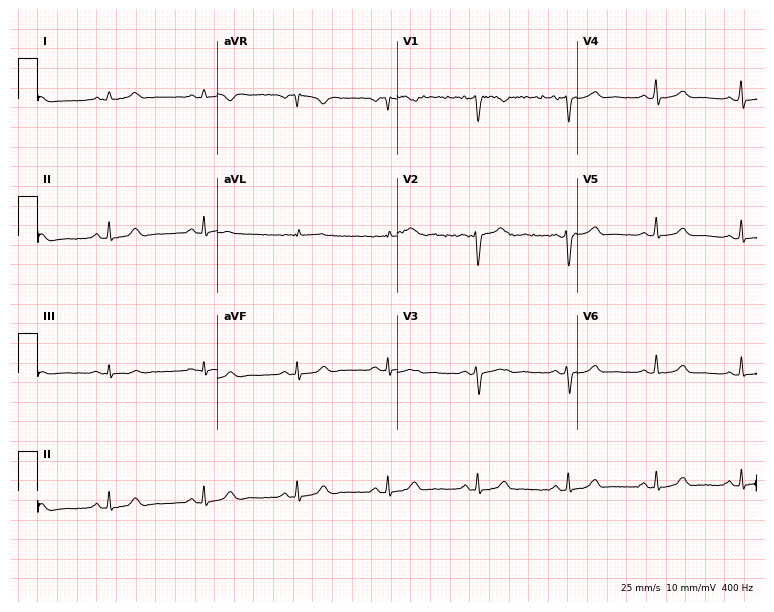
Resting 12-lead electrocardiogram (7.3-second recording at 400 Hz). Patient: a female, 34 years old. None of these six findings is recorded: first-degree AV block, right bundle branch block, left bundle branch block, sinus bradycardia, atrial fibrillation, sinus tachycardia. Other findings, if any, are not listed.